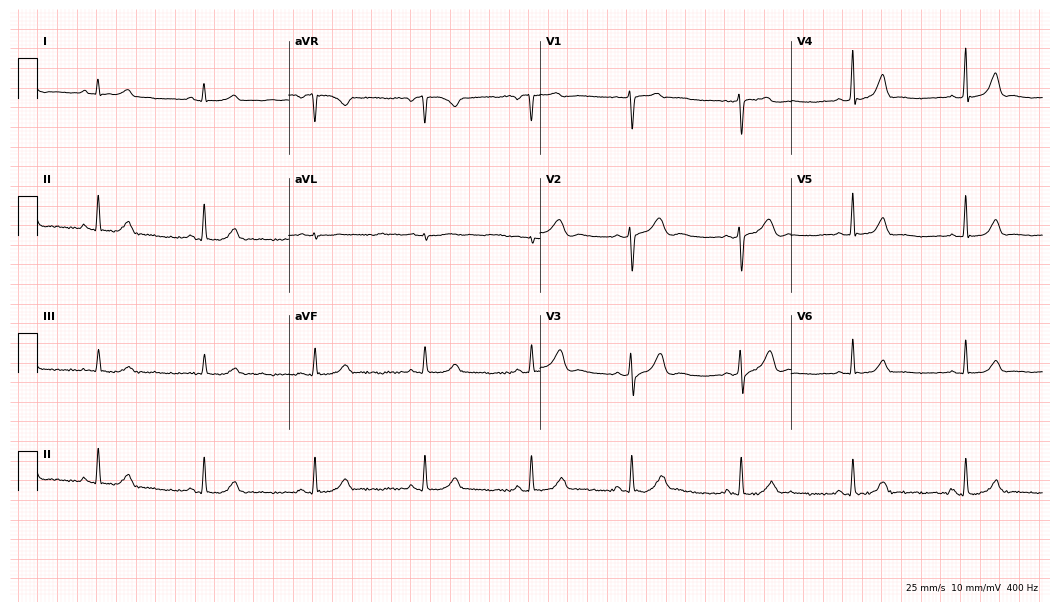
12-lead ECG from a female patient, 18 years old. Screened for six findings — first-degree AV block, right bundle branch block, left bundle branch block, sinus bradycardia, atrial fibrillation, sinus tachycardia — none is recorded.